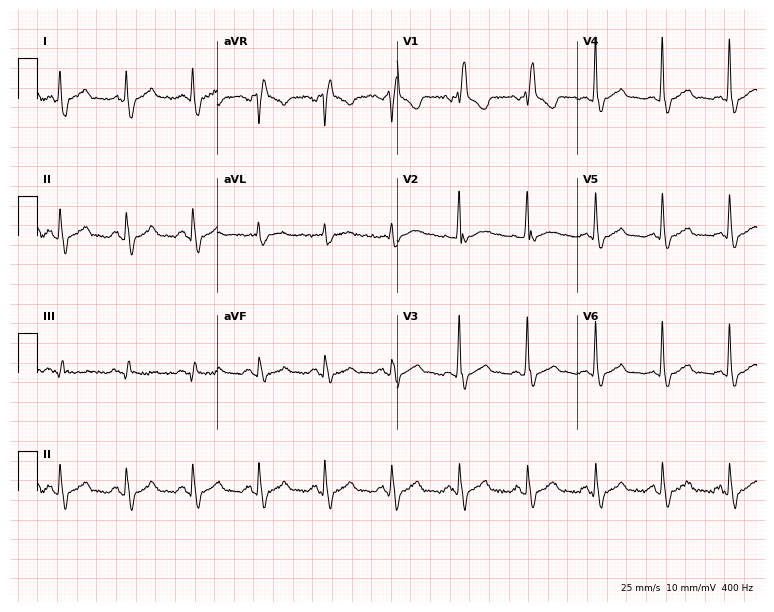
12-lead ECG from a 64-year-old man. Findings include right bundle branch block.